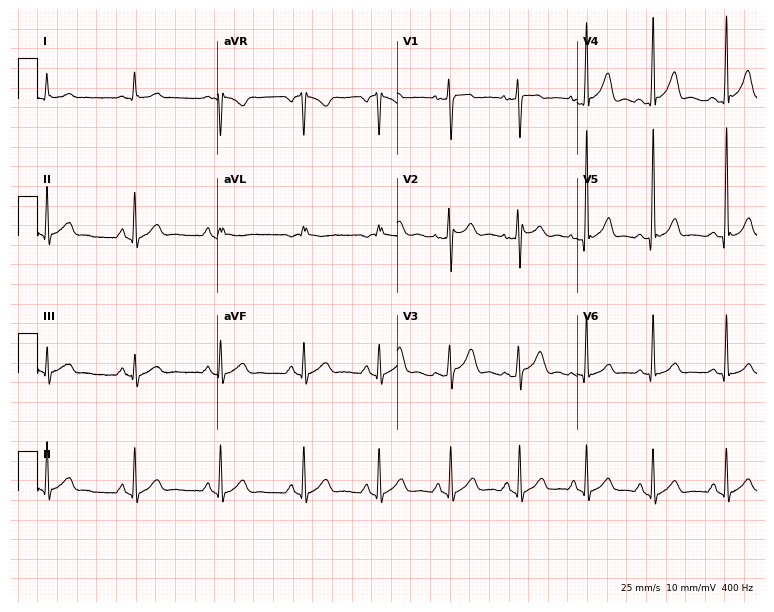
Standard 12-lead ECG recorded from a 25-year-old male patient. None of these six findings is recorded: first-degree AV block, right bundle branch block, left bundle branch block, sinus bradycardia, atrial fibrillation, sinus tachycardia. Findings outside these six are not listed.